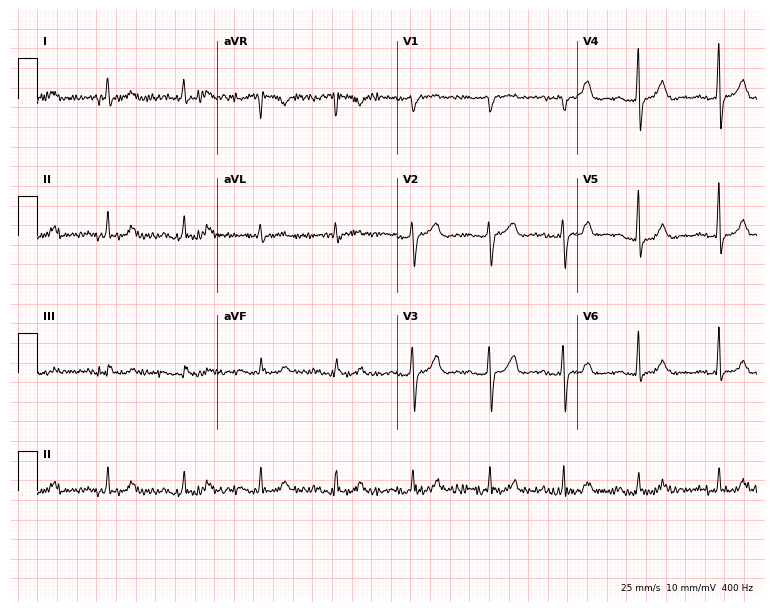
ECG — a male patient, 84 years old. Screened for six findings — first-degree AV block, right bundle branch block (RBBB), left bundle branch block (LBBB), sinus bradycardia, atrial fibrillation (AF), sinus tachycardia — none is recorded.